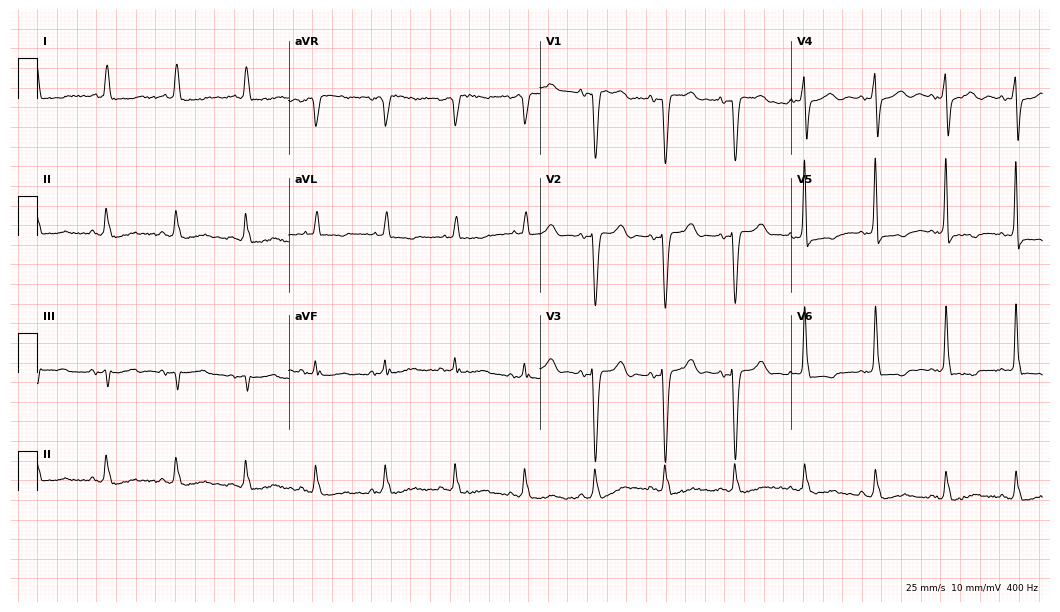
Standard 12-lead ECG recorded from a 66-year-old female (10.2-second recording at 400 Hz). None of these six findings is recorded: first-degree AV block, right bundle branch block, left bundle branch block, sinus bradycardia, atrial fibrillation, sinus tachycardia.